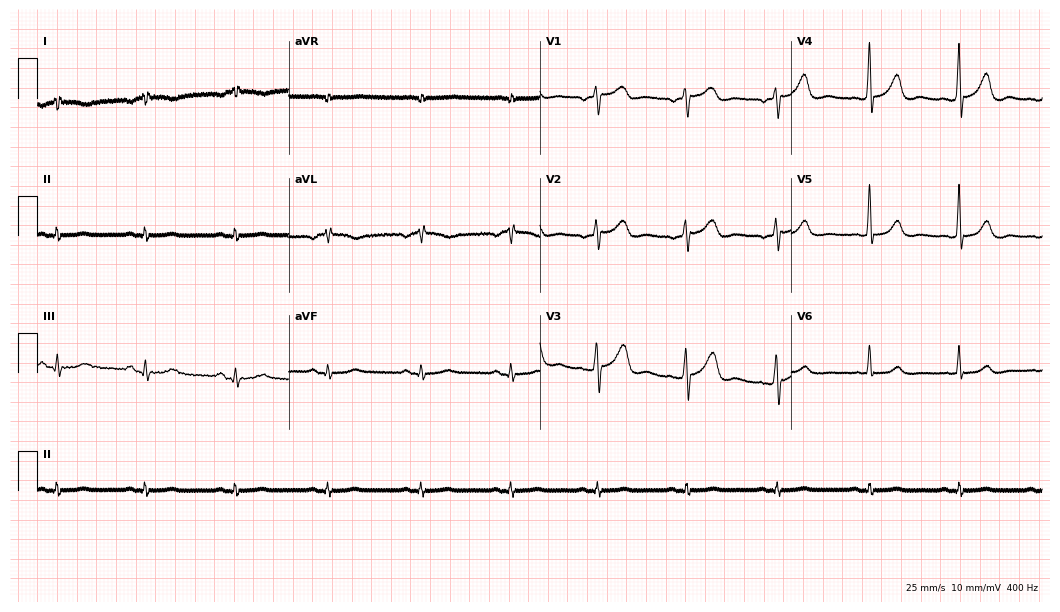
Standard 12-lead ECG recorded from a male, 69 years old (10.2-second recording at 400 Hz). None of these six findings is recorded: first-degree AV block, right bundle branch block, left bundle branch block, sinus bradycardia, atrial fibrillation, sinus tachycardia. Other findings, if any, are not listed.